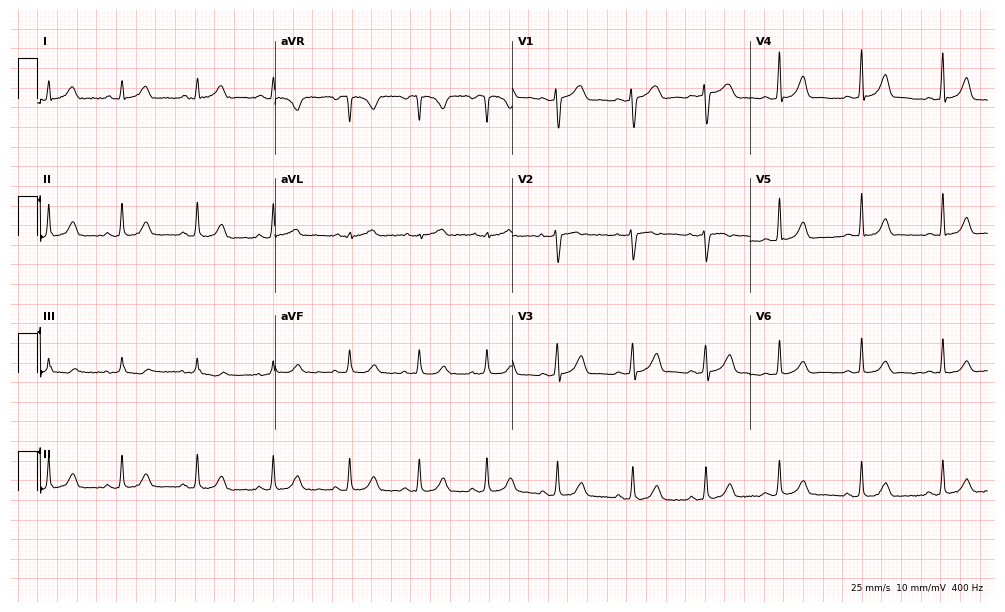
Electrocardiogram (9.7-second recording at 400 Hz), a 30-year-old woman. Of the six screened findings (first-degree AV block, right bundle branch block, left bundle branch block, sinus bradycardia, atrial fibrillation, sinus tachycardia), none is recorded.